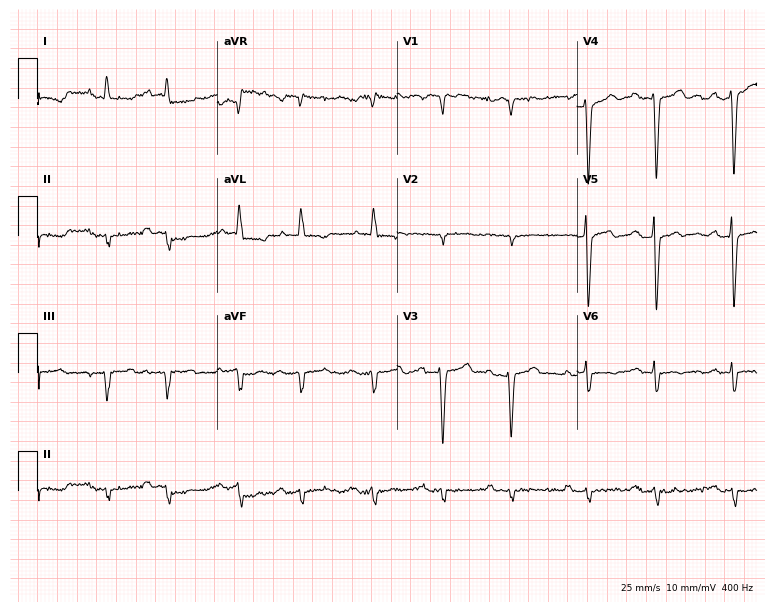
Standard 12-lead ECG recorded from a 74-year-old male patient. None of these six findings is recorded: first-degree AV block, right bundle branch block, left bundle branch block, sinus bradycardia, atrial fibrillation, sinus tachycardia. Other findings, if any, are not listed.